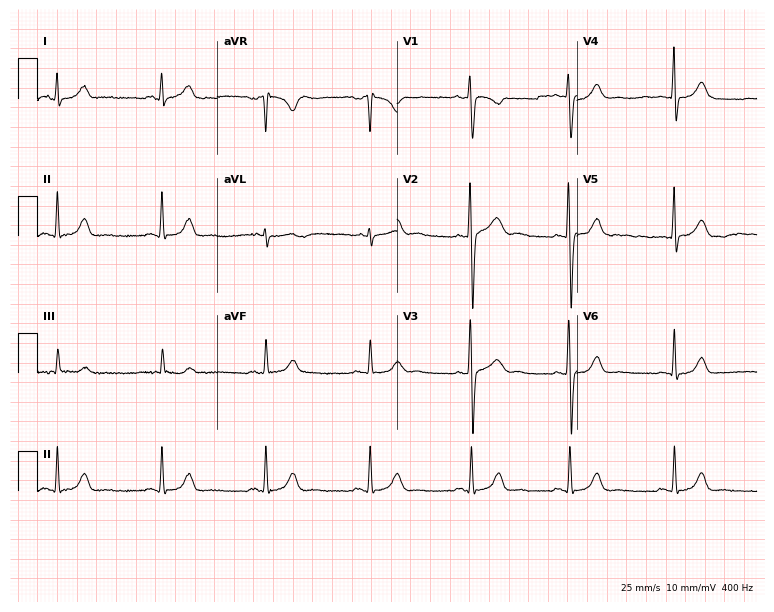
Resting 12-lead electrocardiogram (7.3-second recording at 400 Hz). Patient: a woman, 18 years old. Read as a normal ECG.